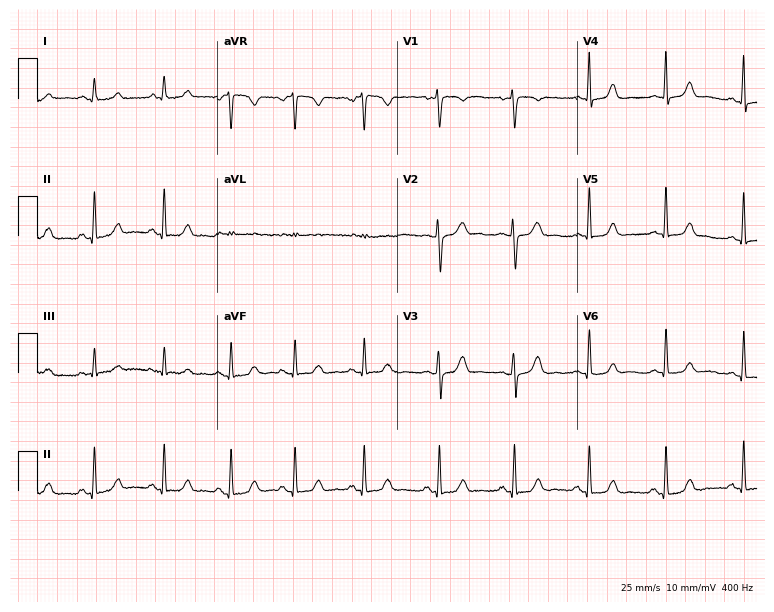
12-lead ECG from a woman, 35 years old. Recorded interpretation: within normal limits.